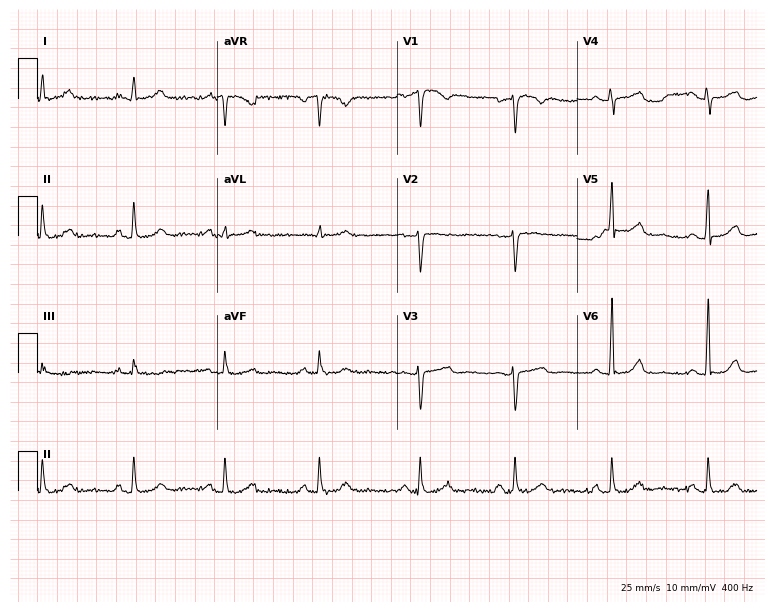
12-lead ECG from a 47-year-old female. No first-degree AV block, right bundle branch block (RBBB), left bundle branch block (LBBB), sinus bradycardia, atrial fibrillation (AF) or sinus tachycardia recorded for this tracing. Other findings, if any, are not listed.